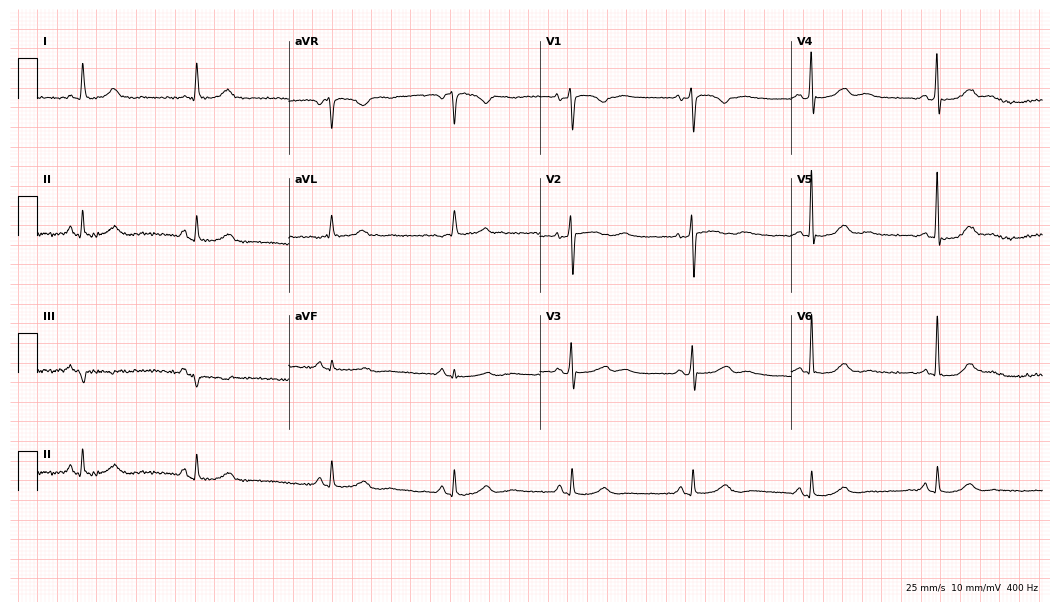
12-lead ECG from a female, 74 years old (10.2-second recording at 400 Hz). Shows sinus bradycardia (a sinus rate of 50 beats per minute or less).